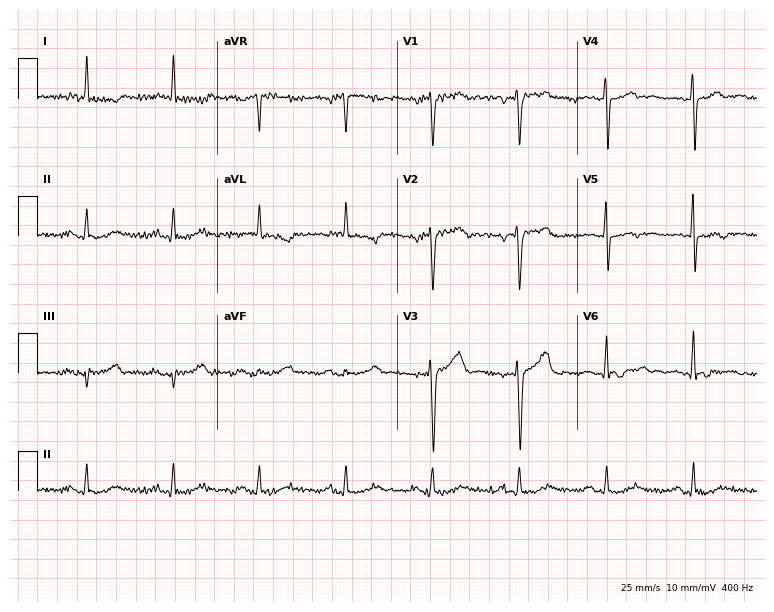
Standard 12-lead ECG recorded from a man, 68 years old (7.3-second recording at 400 Hz). None of these six findings is recorded: first-degree AV block, right bundle branch block (RBBB), left bundle branch block (LBBB), sinus bradycardia, atrial fibrillation (AF), sinus tachycardia.